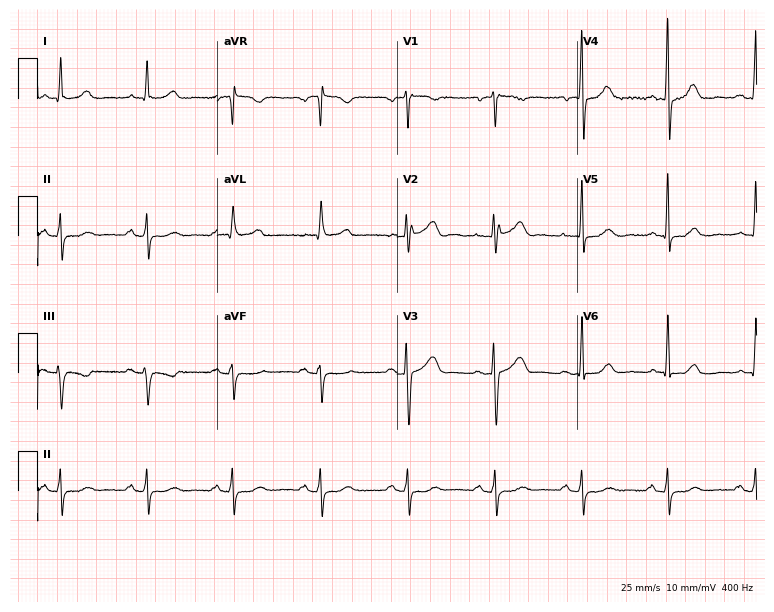
ECG — a 64-year-old female. Screened for six findings — first-degree AV block, right bundle branch block, left bundle branch block, sinus bradycardia, atrial fibrillation, sinus tachycardia — none is recorded.